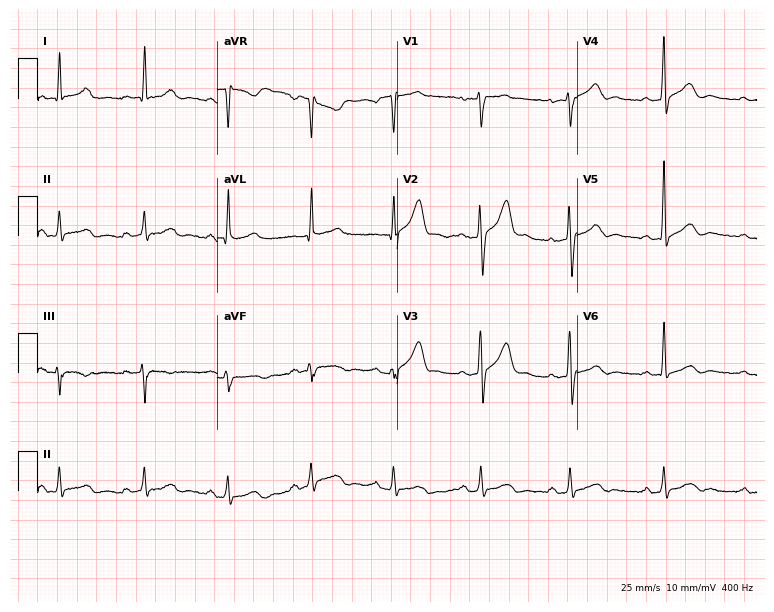
ECG — a 42-year-old male. Labelled as a normal ECG.